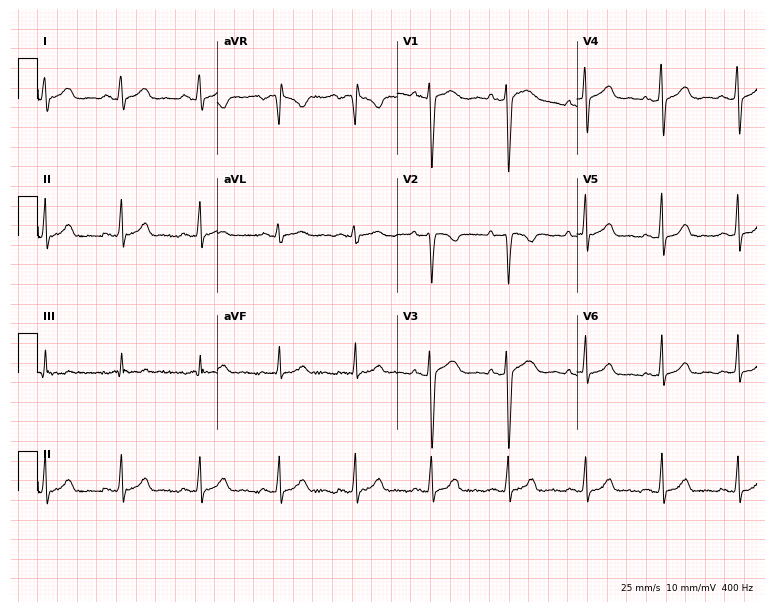
Electrocardiogram (7.3-second recording at 400 Hz), a 40-year-old female patient. Of the six screened findings (first-degree AV block, right bundle branch block (RBBB), left bundle branch block (LBBB), sinus bradycardia, atrial fibrillation (AF), sinus tachycardia), none is recorded. Only these six findings were labelled.